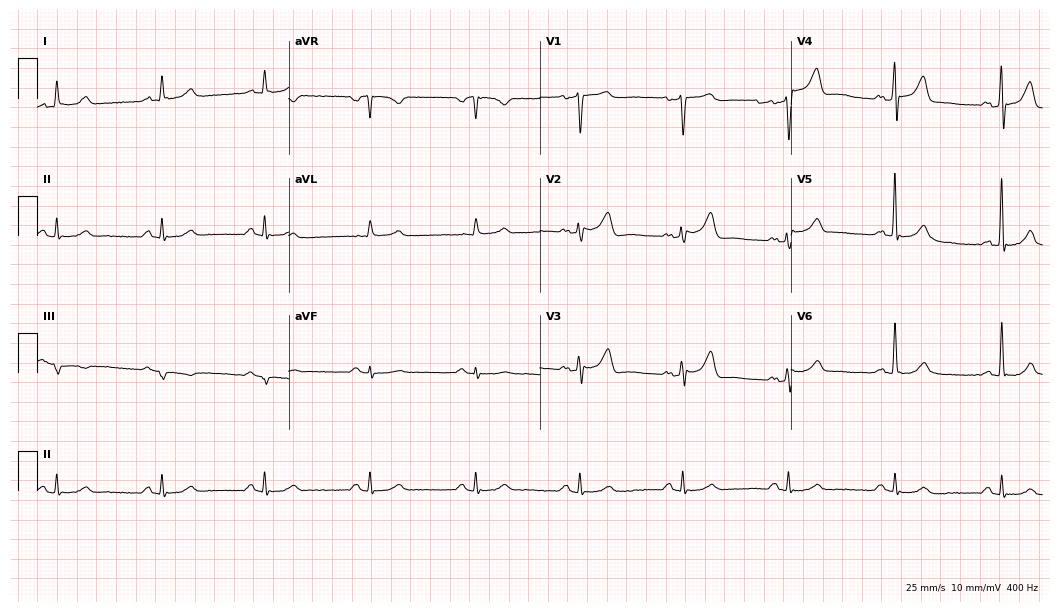
ECG (10.2-second recording at 400 Hz) — a 64-year-old male. Screened for six findings — first-degree AV block, right bundle branch block, left bundle branch block, sinus bradycardia, atrial fibrillation, sinus tachycardia — none is recorded.